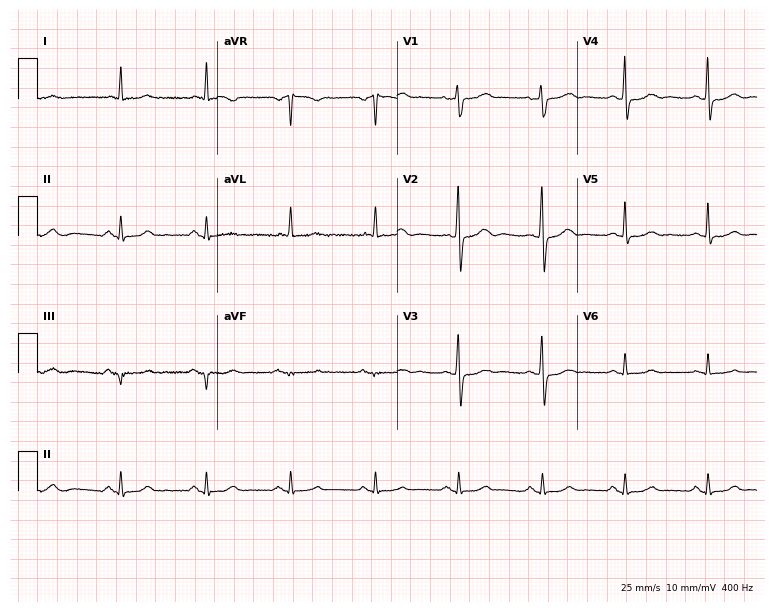
Electrocardiogram (7.3-second recording at 400 Hz), an 82-year-old female patient. Overall reading on record: normal ECG.